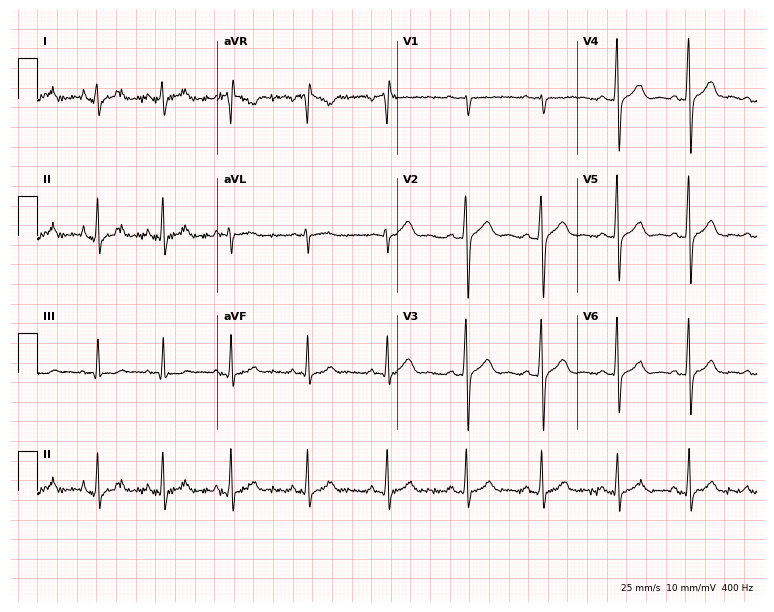
12-lead ECG from an 18-year-old man. Labelled as a normal ECG.